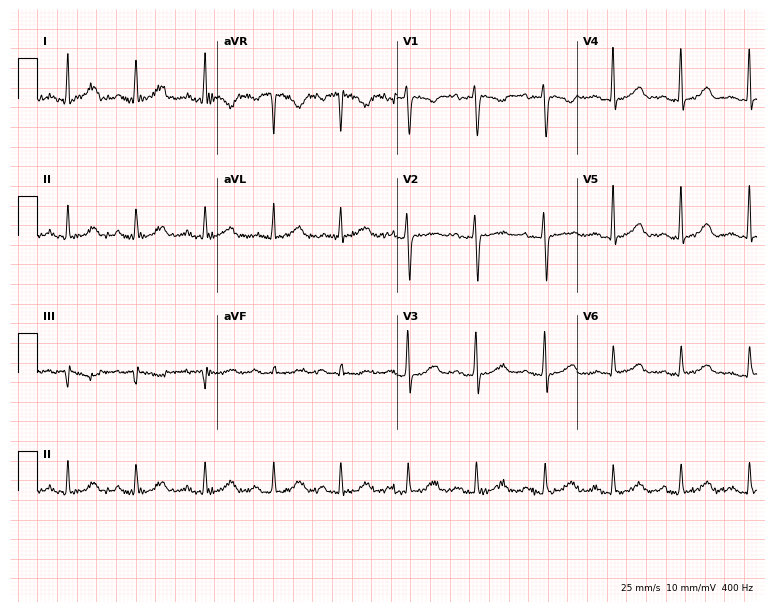
ECG (7.3-second recording at 400 Hz) — a 52-year-old woman. Screened for six findings — first-degree AV block, right bundle branch block, left bundle branch block, sinus bradycardia, atrial fibrillation, sinus tachycardia — none is recorded.